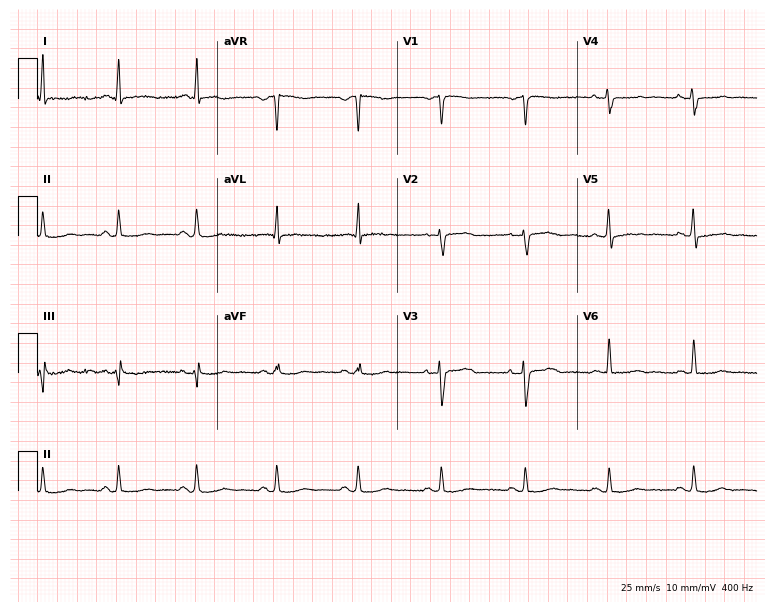
Resting 12-lead electrocardiogram. Patient: a male, 65 years old. None of these six findings is recorded: first-degree AV block, right bundle branch block, left bundle branch block, sinus bradycardia, atrial fibrillation, sinus tachycardia.